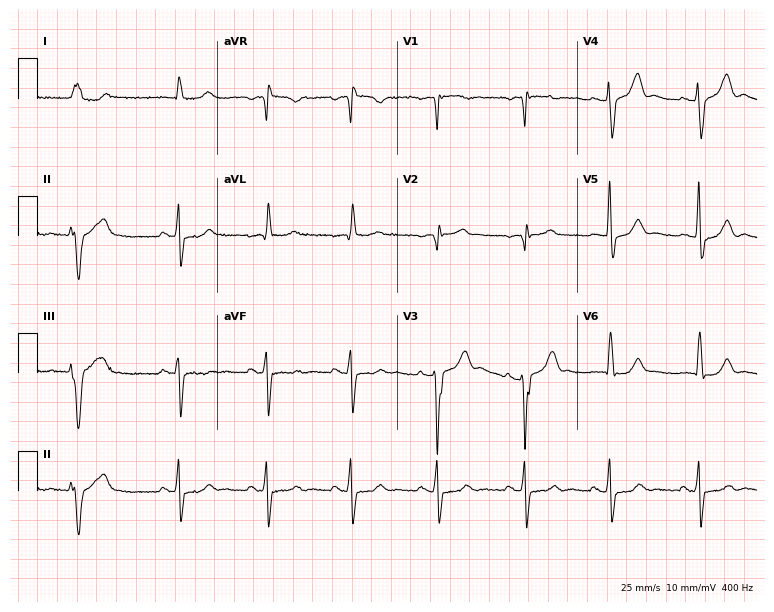
12-lead ECG from a 70-year-old male. Screened for six findings — first-degree AV block, right bundle branch block, left bundle branch block, sinus bradycardia, atrial fibrillation, sinus tachycardia — none is recorded.